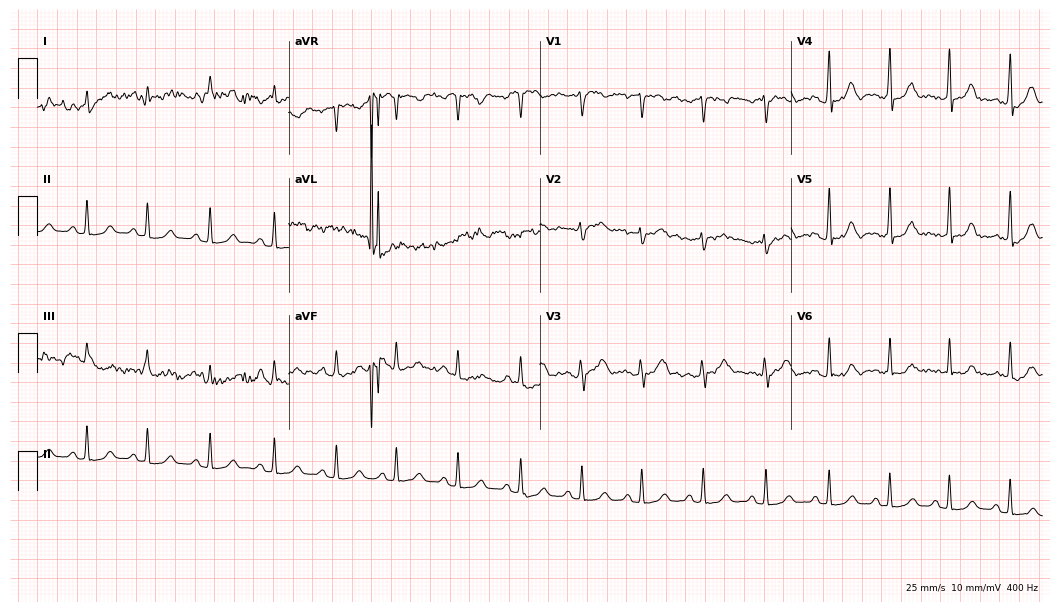
Resting 12-lead electrocardiogram (10.2-second recording at 400 Hz). Patient: a female, 36 years old. Read as a normal ECG.